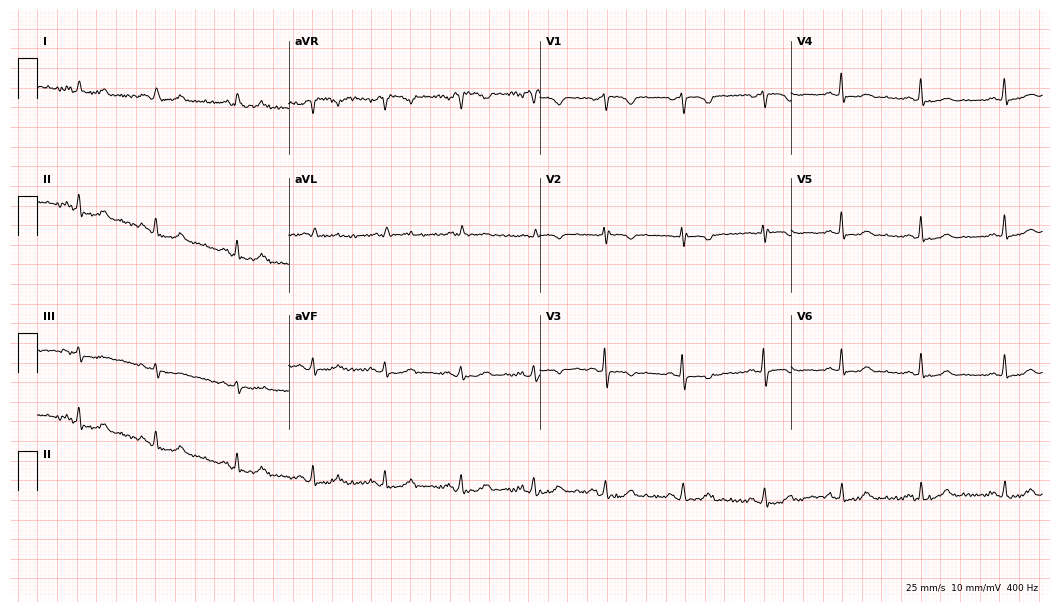
Standard 12-lead ECG recorded from a female, 27 years old. None of these six findings is recorded: first-degree AV block, right bundle branch block, left bundle branch block, sinus bradycardia, atrial fibrillation, sinus tachycardia. Findings outside these six are not listed.